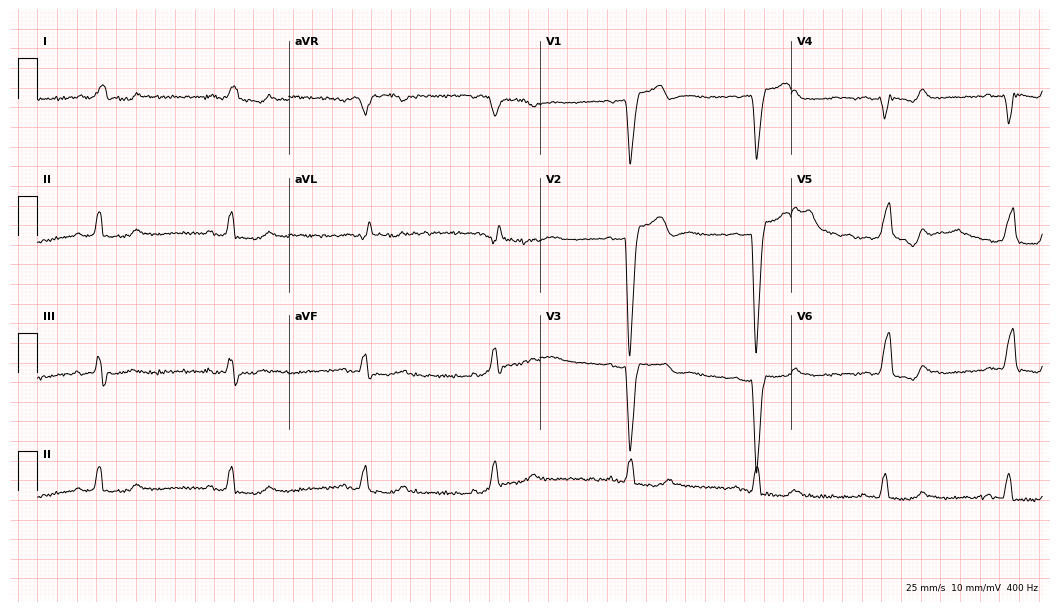
12-lead ECG from a 70-year-old man (10.2-second recording at 400 Hz). Shows right bundle branch block (RBBB), left bundle branch block (LBBB).